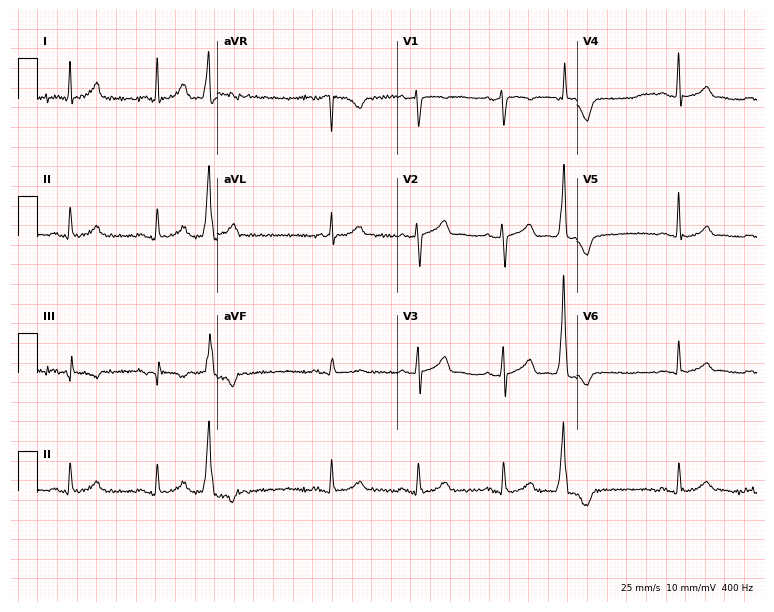
Standard 12-lead ECG recorded from a man, 64 years old. None of these six findings is recorded: first-degree AV block, right bundle branch block (RBBB), left bundle branch block (LBBB), sinus bradycardia, atrial fibrillation (AF), sinus tachycardia.